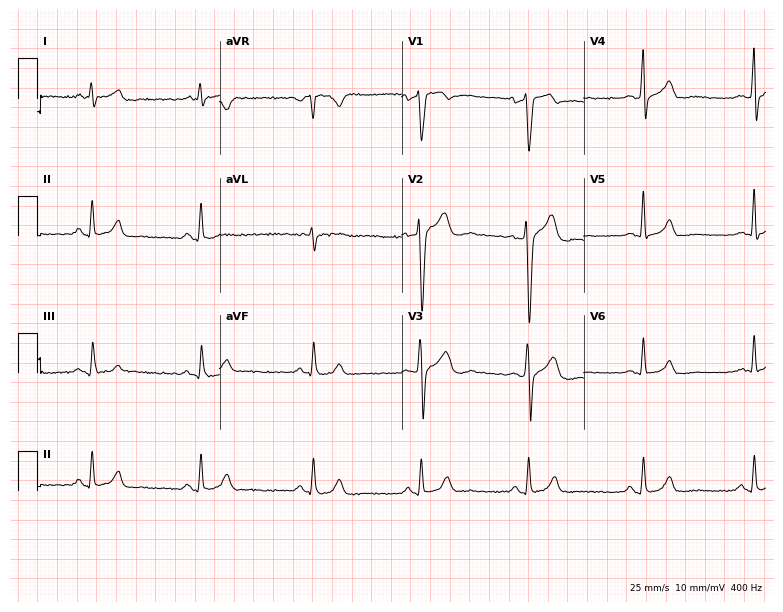
Electrocardiogram (7.4-second recording at 400 Hz), a male, 40 years old. Overall reading on record: normal ECG.